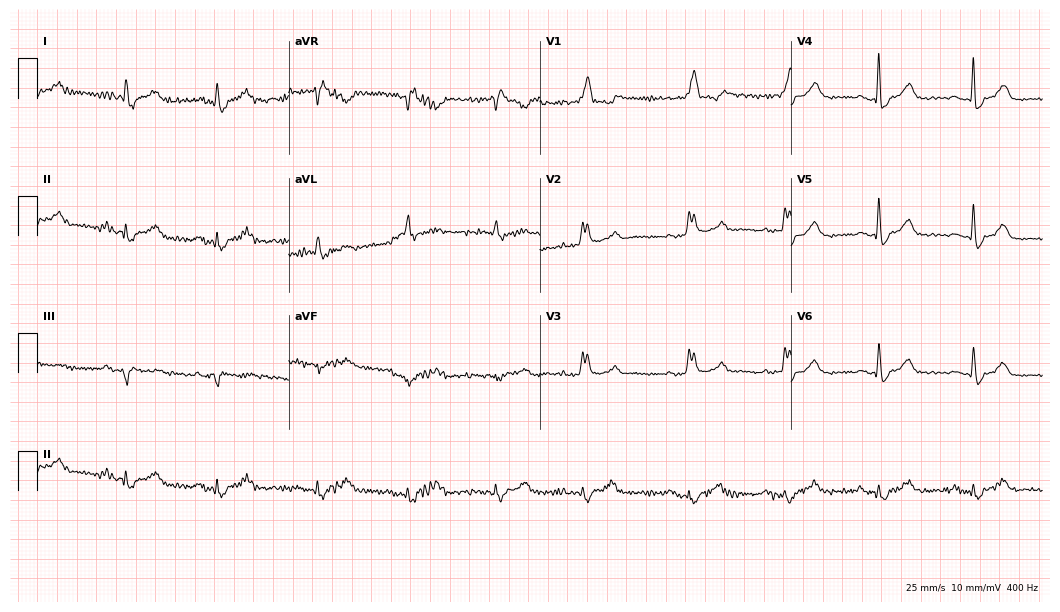
12-lead ECG (10.2-second recording at 400 Hz) from an 81-year-old female patient. Findings include right bundle branch block (RBBB).